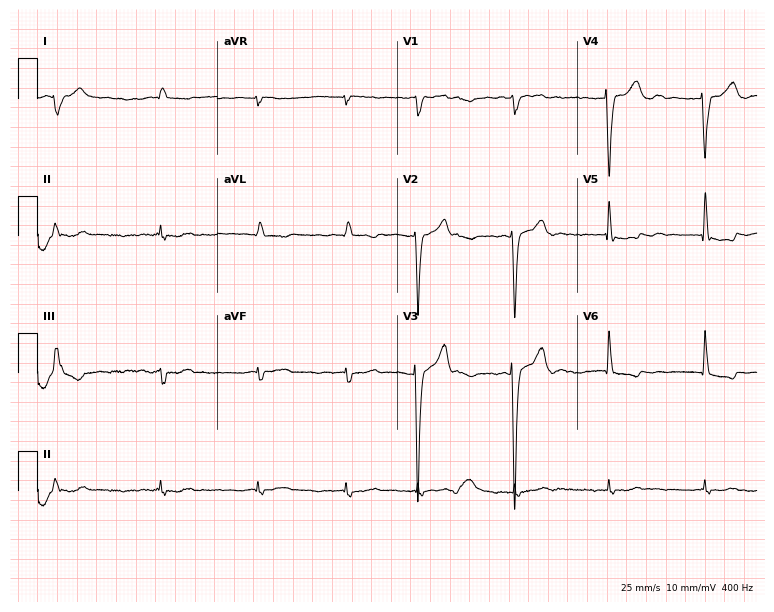
Resting 12-lead electrocardiogram. Patient: an 85-year-old male. The tracing shows atrial fibrillation.